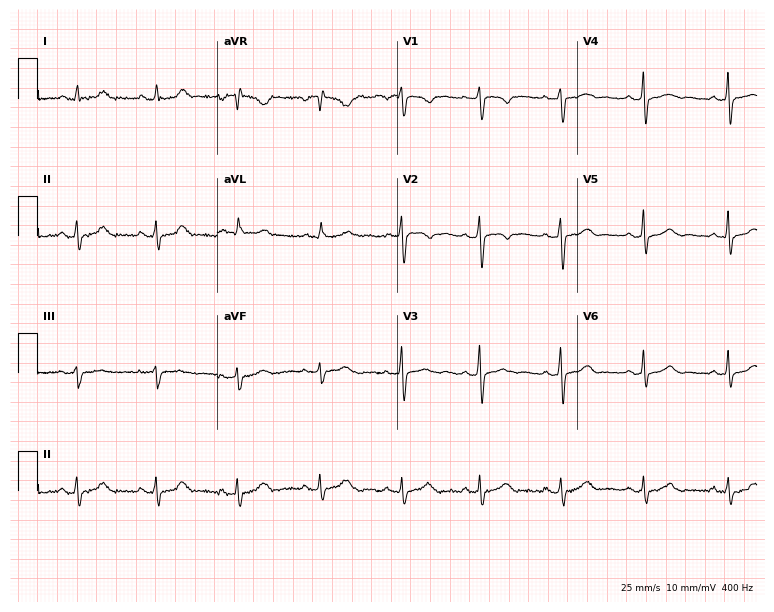
12-lead ECG from a female patient, 29 years old (7.3-second recording at 400 Hz). Recorded interpretation: within normal limits.